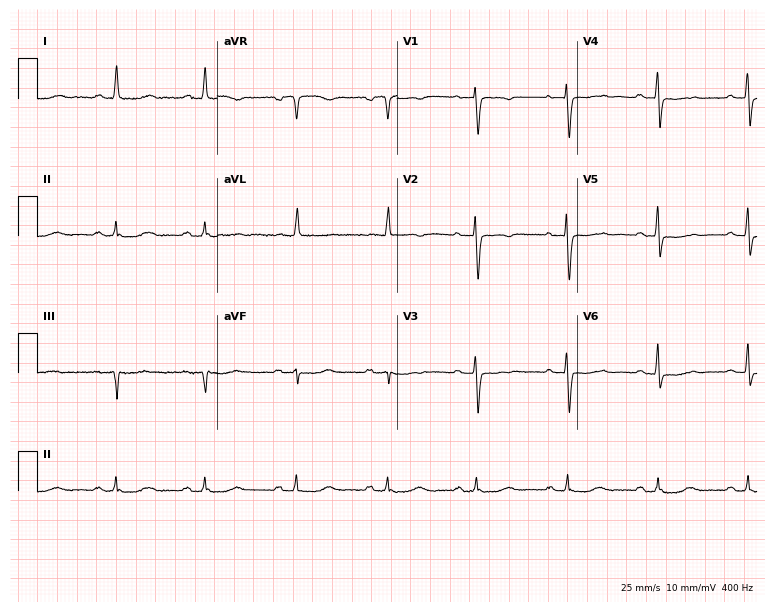
12-lead ECG from a 71-year-old female patient. No first-degree AV block, right bundle branch block, left bundle branch block, sinus bradycardia, atrial fibrillation or sinus tachycardia recorded for this tracing.